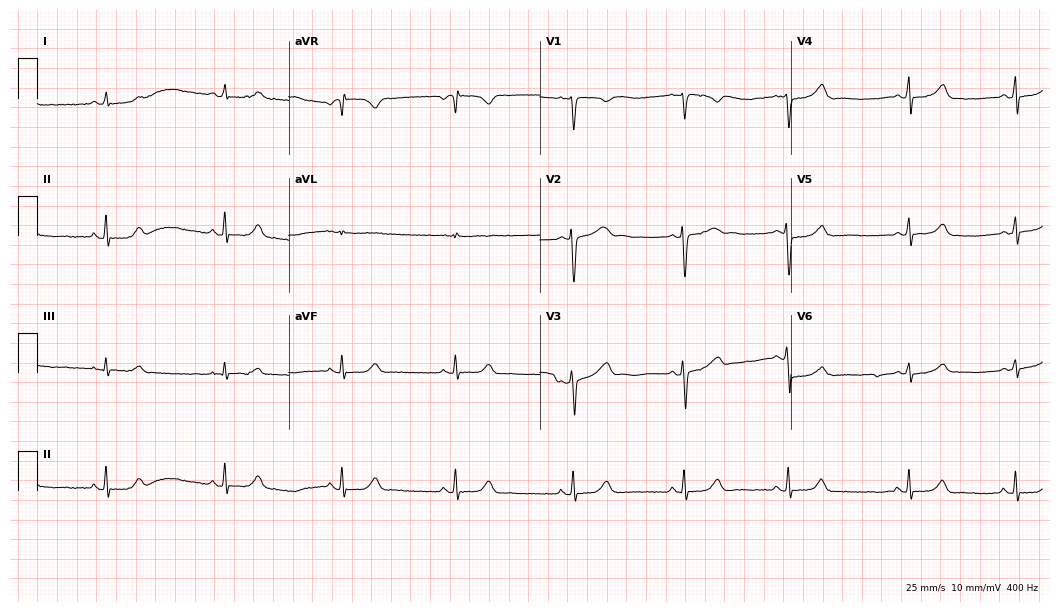
12-lead ECG from a woman, 23 years old. Recorded interpretation: within normal limits.